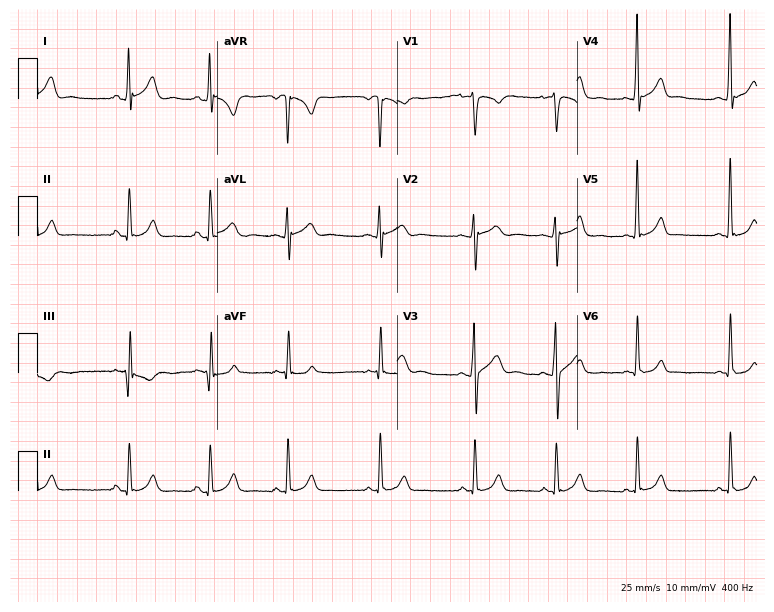
12-lead ECG from a 19-year-old male. Recorded interpretation: within normal limits.